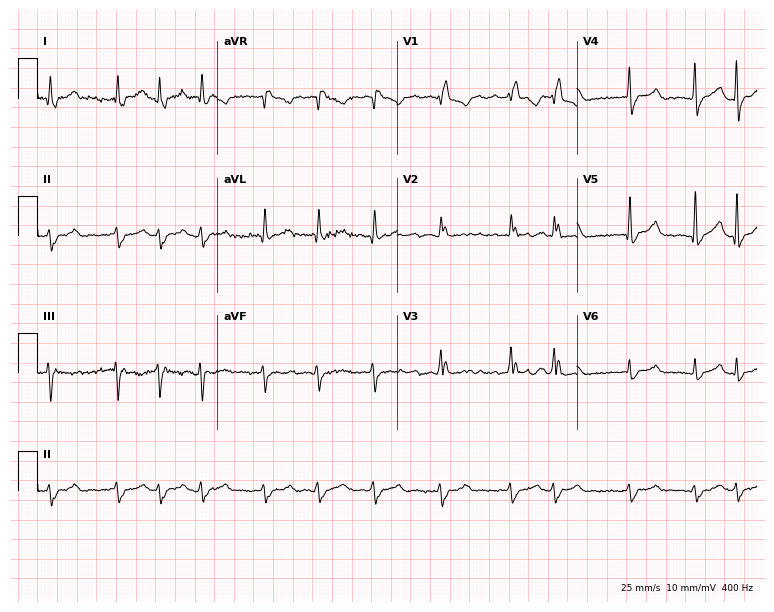
ECG — a male, 74 years old. Findings include right bundle branch block, atrial fibrillation.